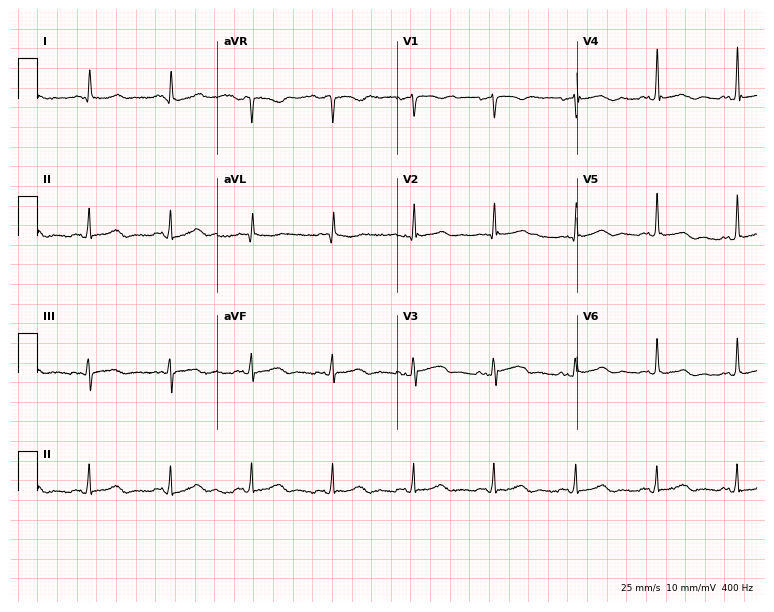
ECG — a female patient, 82 years old. Screened for six findings — first-degree AV block, right bundle branch block (RBBB), left bundle branch block (LBBB), sinus bradycardia, atrial fibrillation (AF), sinus tachycardia — none is recorded.